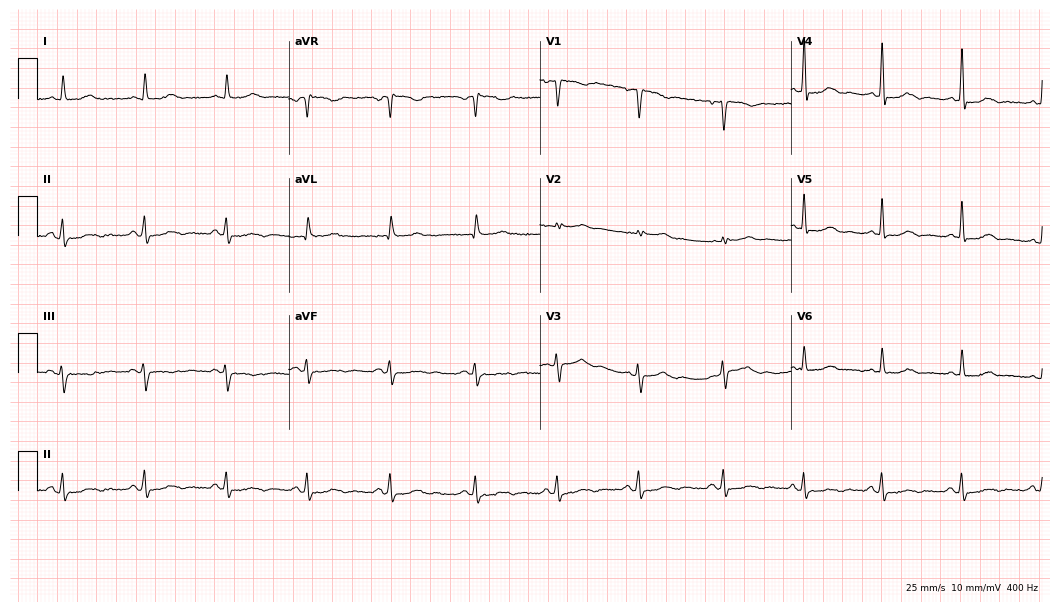
12-lead ECG from a 47-year-old female. Recorded interpretation: within normal limits.